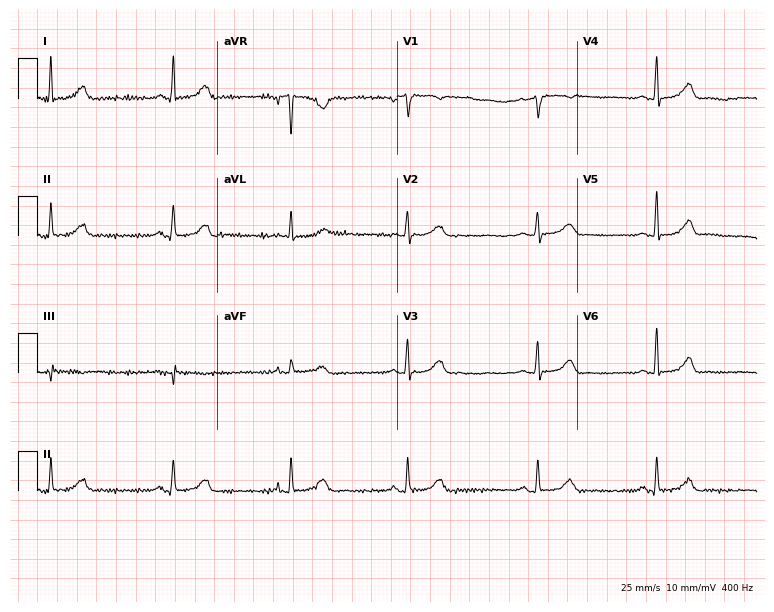
12-lead ECG from a 43-year-old woman. Shows sinus bradycardia (a sinus rate of 50 beats per minute or less).